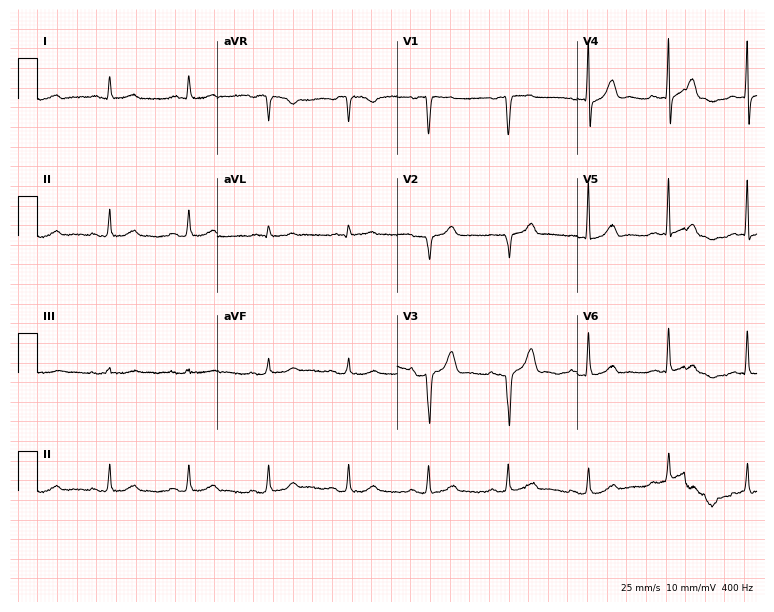
12-lead ECG (7.3-second recording at 400 Hz) from a 76-year-old male patient. Screened for six findings — first-degree AV block, right bundle branch block, left bundle branch block, sinus bradycardia, atrial fibrillation, sinus tachycardia — none is recorded. Only these six findings were labelled.